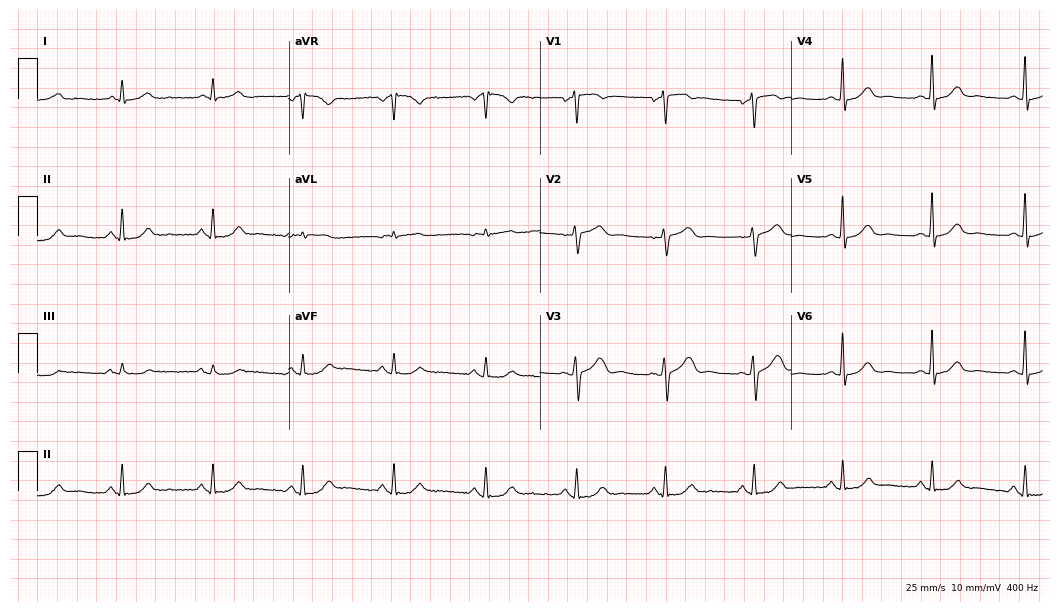
Resting 12-lead electrocardiogram (10.2-second recording at 400 Hz). Patient: a 74-year-old man. None of these six findings is recorded: first-degree AV block, right bundle branch block, left bundle branch block, sinus bradycardia, atrial fibrillation, sinus tachycardia. Only these six findings were labelled.